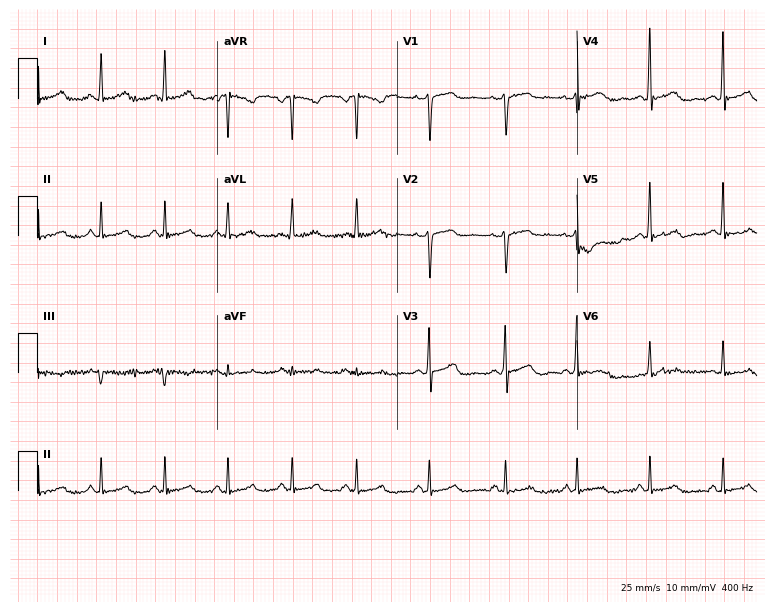
Resting 12-lead electrocardiogram (7.3-second recording at 400 Hz). Patient: a 48-year-old woman. Read as a normal ECG.